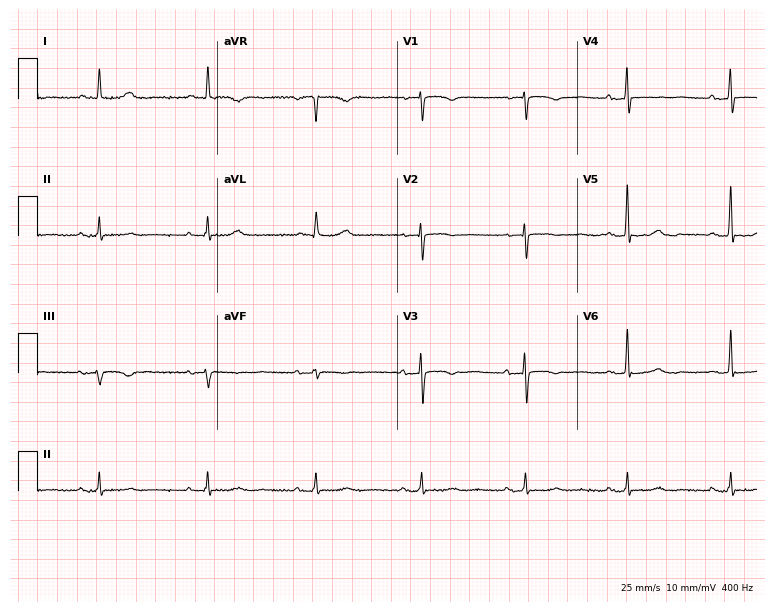
Resting 12-lead electrocardiogram. Patient: a 78-year-old female. None of these six findings is recorded: first-degree AV block, right bundle branch block, left bundle branch block, sinus bradycardia, atrial fibrillation, sinus tachycardia.